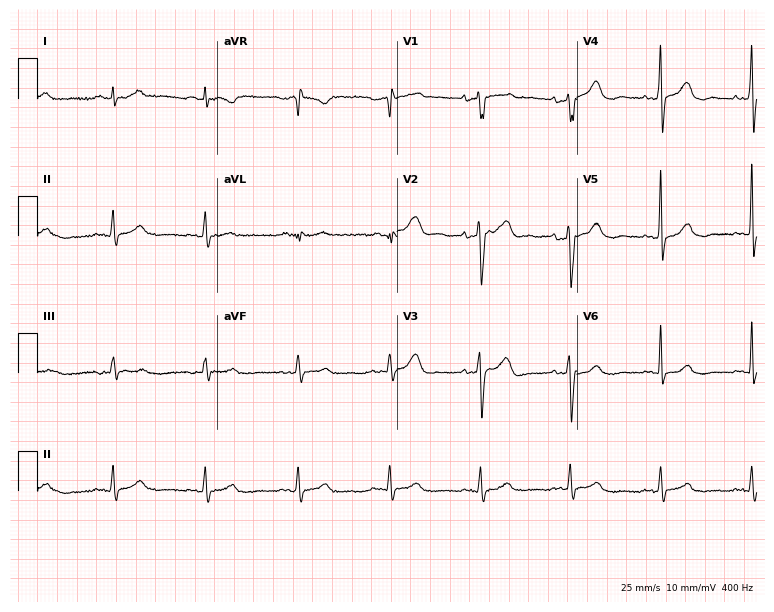
12-lead ECG from a man, 53 years old (7.3-second recording at 400 Hz). No first-degree AV block, right bundle branch block (RBBB), left bundle branch block (LBBB), sinus bradycardia, atrial fibrillation (AF) or sinus tachycardia recorded for this tracing.